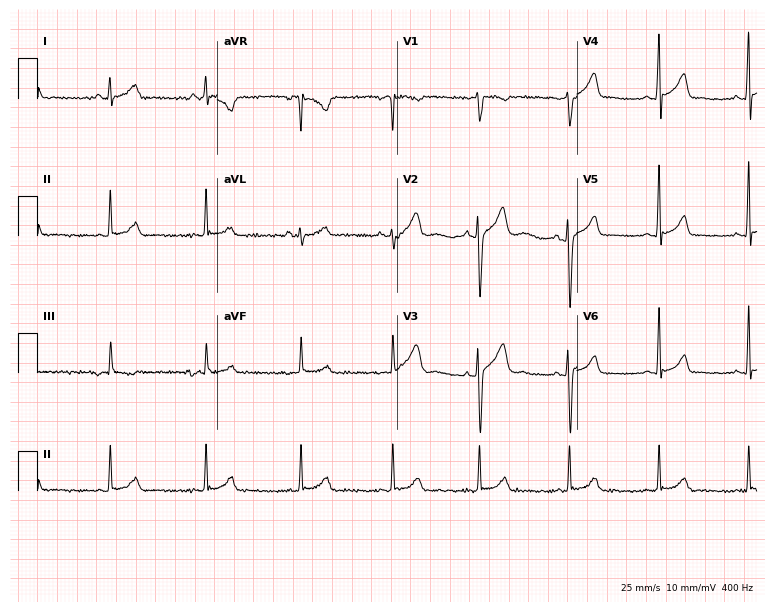
ECG (7.3-second recording at 400 Hz) — a 23-year-old male. Screened for six findings — first-degree AV block, right bundle branch block, left bundle branch block, sinus bradycardia, atrial fibrillation, sinus tachycardia — none is recorded. Other findings, if any, are not listed.